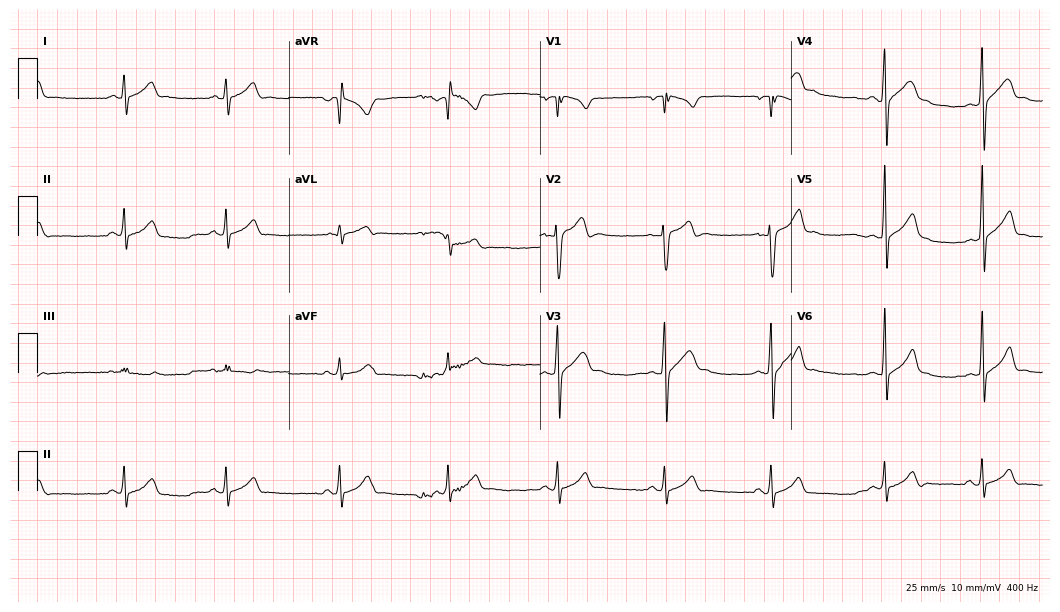
12-lead ECG (10.2-second recording at 400 Hz) from an 18-year-old man. Screened for six findings — first-degree AV block, right bundle branch block, left bundle branch block, sinus bradycardia, atrial fibrillation, sinus tachycardia — none is recorded.